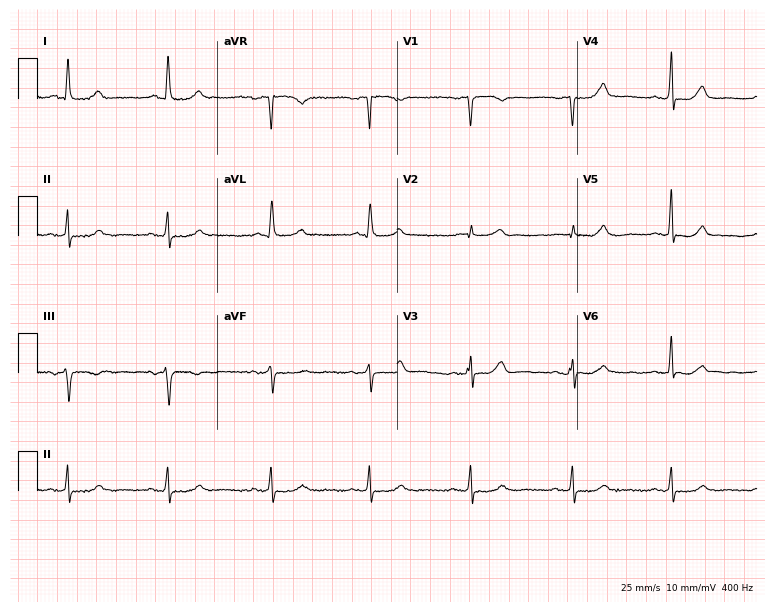
Resting 12-lead electrocardiogram. Patient: a female, 65 years old. None of these six findings is recorded: first-degree AV block, right bundle branch block, left bundle branch block, sinus bradycardia, atrial fibrillation, sinus tachycardia. Other findings, if any, are not listed.